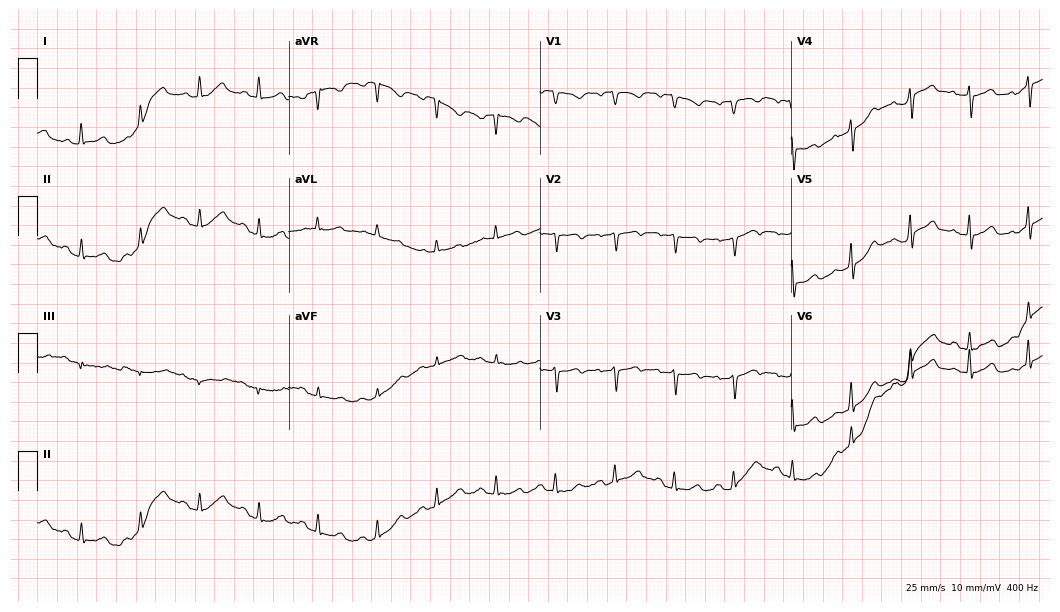
Resting 12-lead electrocardiogram (10.2-second recording at 400 Hz). Patient: a female, 58 years old. None of these six findings is recorded: first-degree AV block, right bundle branch block (RBBB), left bundle branch block (LBBB), sinus bradycardia, atrial fibrillation (AF), sinus tachycardia.